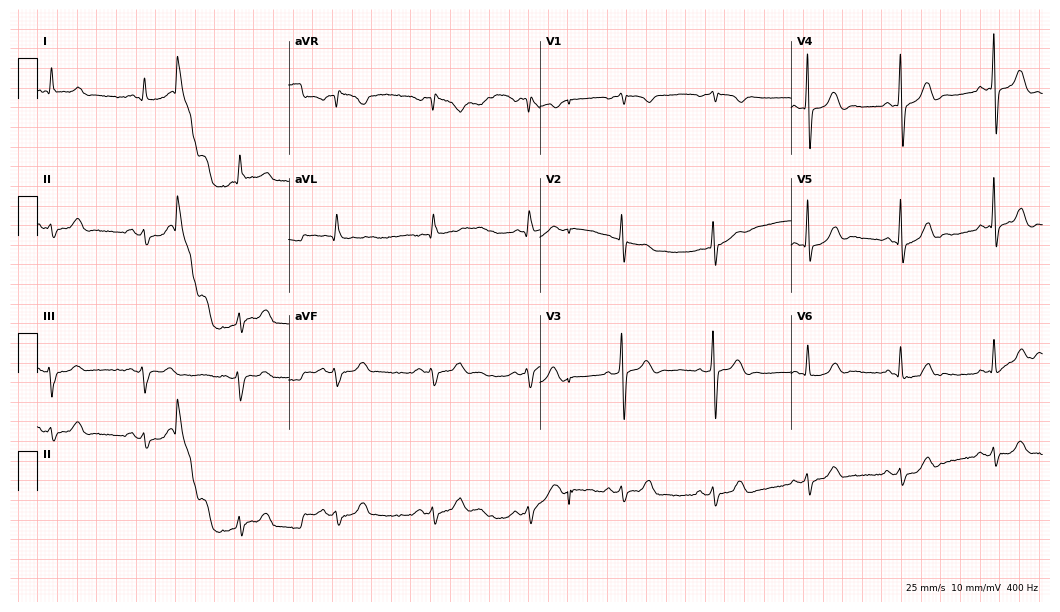
Resting 12-lead electrocardiogram. Patient: a male, 83 years old. Read as a normal ECG.